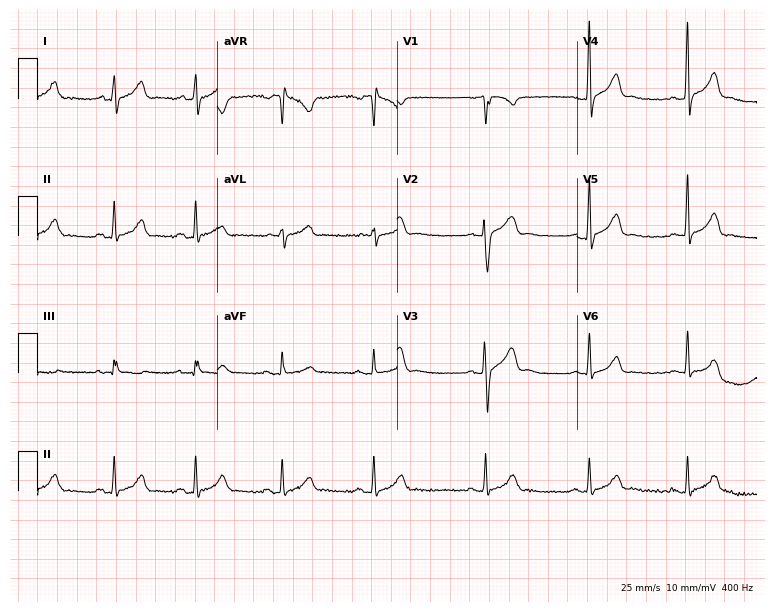
12-lead ECG from a 22-year-old man (7.3-second recording at 400 Hz). Recorded interpretation: within normal limits.